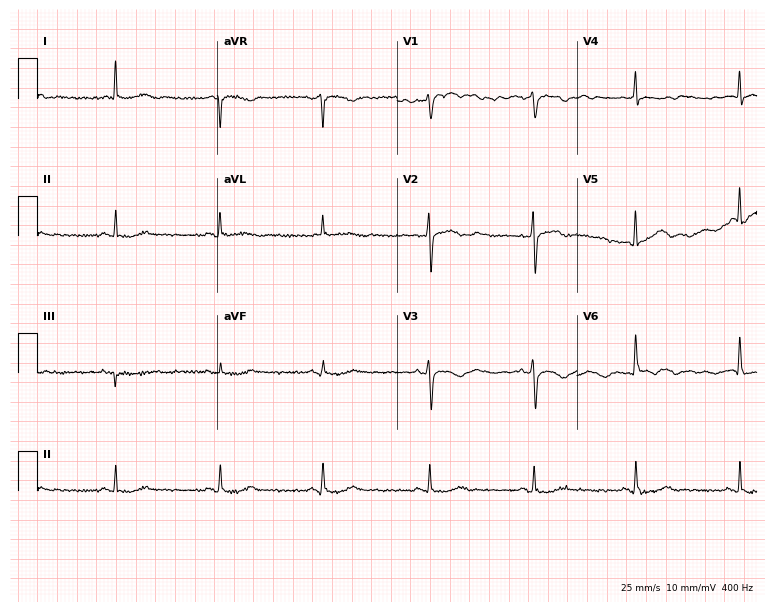
Electrocardiogram (7.3-second recording at 400 Hz), a 75-year-old female patient. Of the six screened findings (first-degree AV block, right bundle branch block, left bundle branch block, sinus bradycardia, atrial fibrillation, sinus tachycardia), none is recorded.